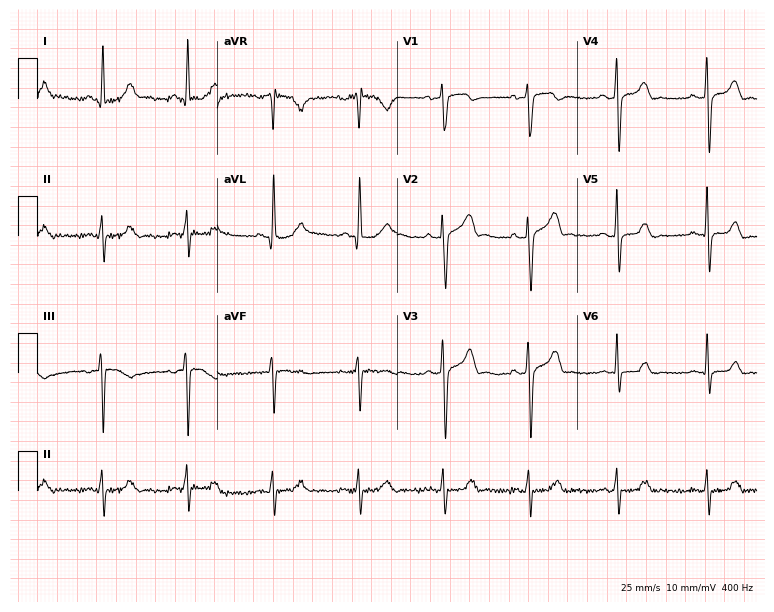
12-lead ECG from a man, 46 years old. Screened for six findings — first-degree AV block, right bundle branch block, left bundle branch block, sinus bradycardia, atrial fibrillation, sinus tachycardia — none is recorded. Only these six findings were labelled.